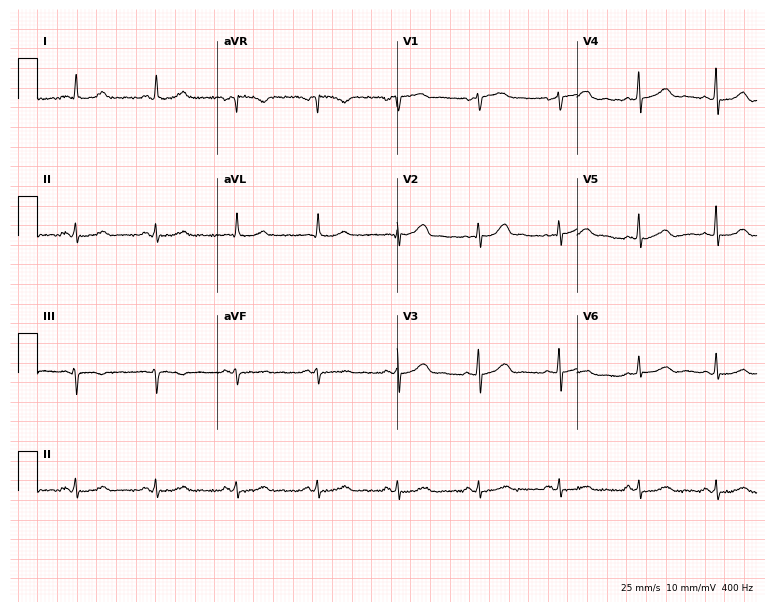
12-lead ECG from a female patient, 53 years old. Labelled as a normal ECG.